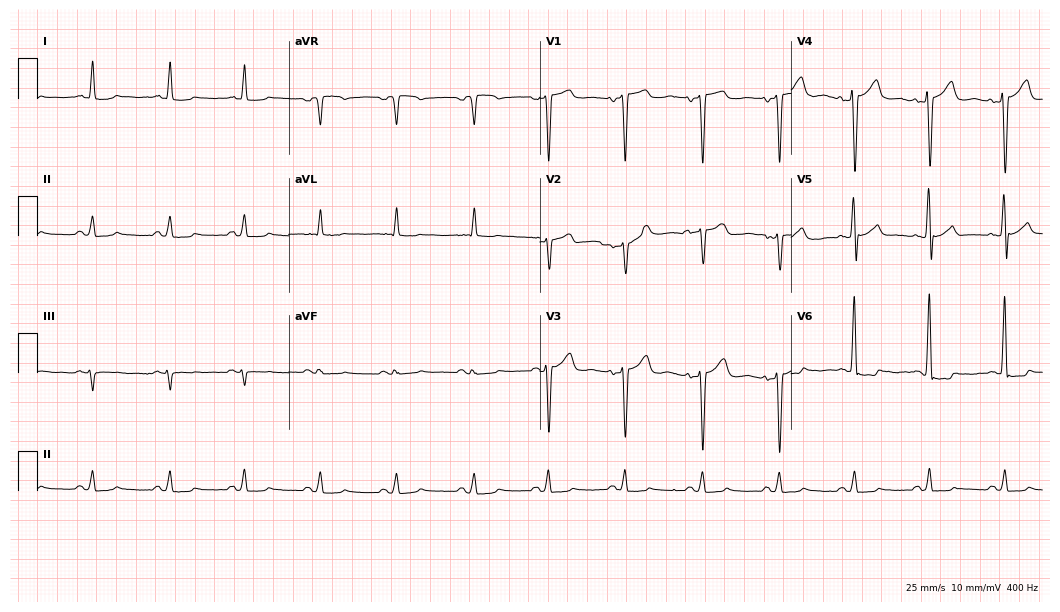
ECG (10.2-second recording at 400 Hz) — a male, 74 years old. Labelled as a normal ECG.